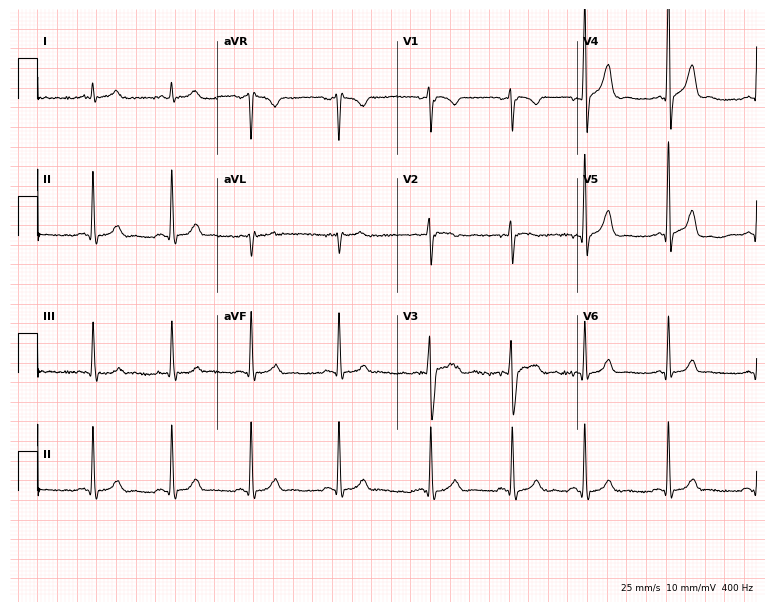
12-lead ECG from an 18-year-old man. Recorded interpretation: within normal limits.